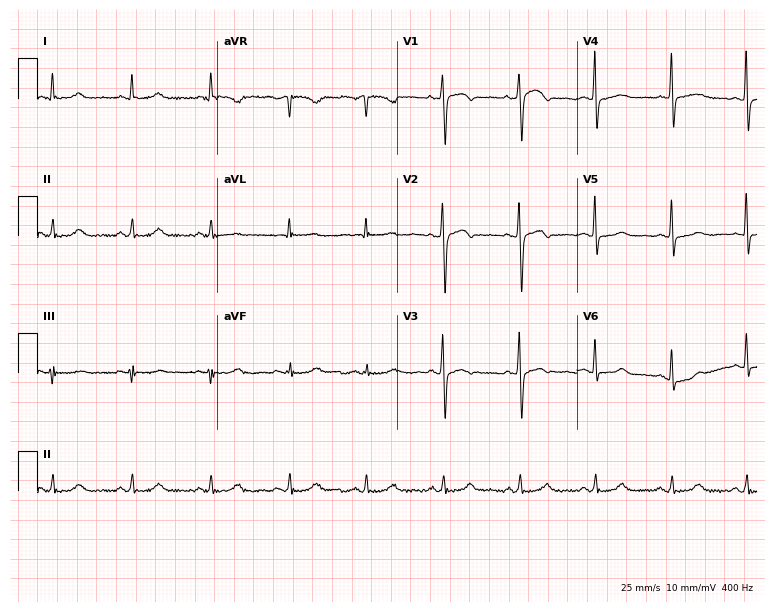
Electrocardiogram (7.3-second recording at 400 Hz), a 59-year-old female patient. Of the six screened findings (first-degree AV block, right bundle branch block, left bundle branch block, sinus bradycardia, atrial fibrillation, sinus tachycardia), none is recorded. Findings outside these six are not listed.